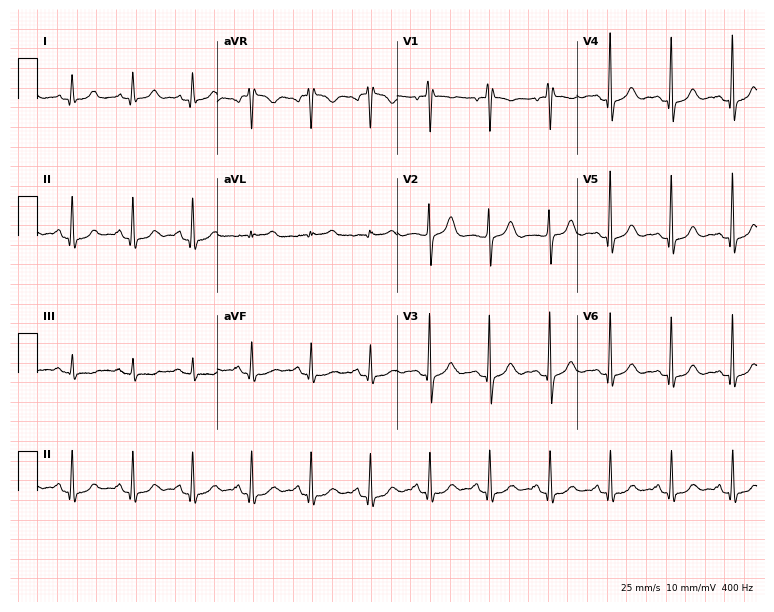
Electrocardiogram, a 60-year-old woman. Of the six screened findings (first-degree AV block, right bundle branch block, left bundle branch block, sinus bradycardia, atrial fibrillation, sinus tachycardia), none is recorded. Other findings, if any, are not listed.